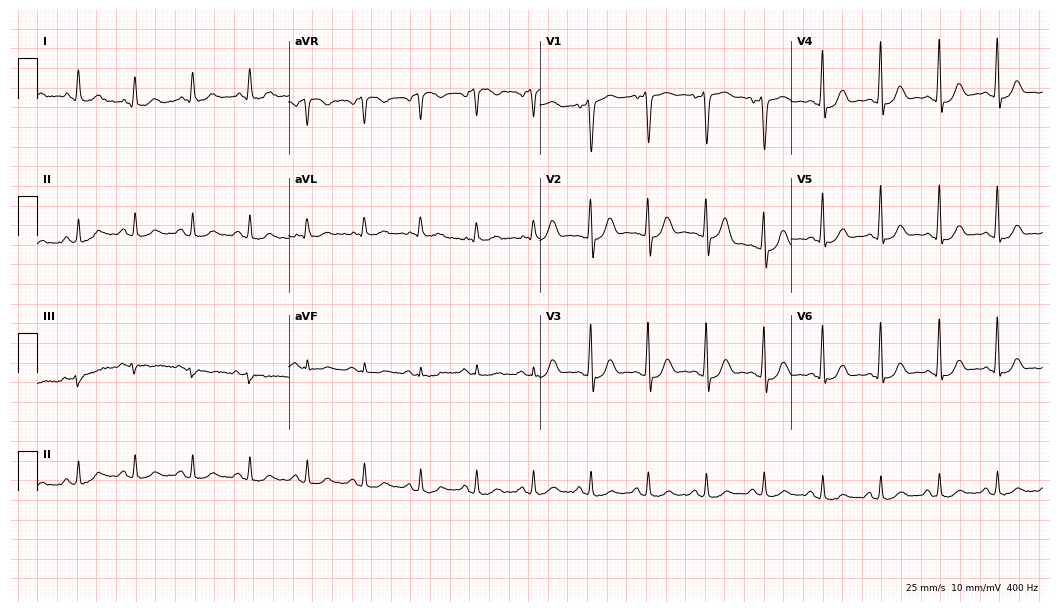
12-lead ECG from a man, 61 years old. Shows sinus tachycardia (a sinus rate of 100 beats per minute or more).